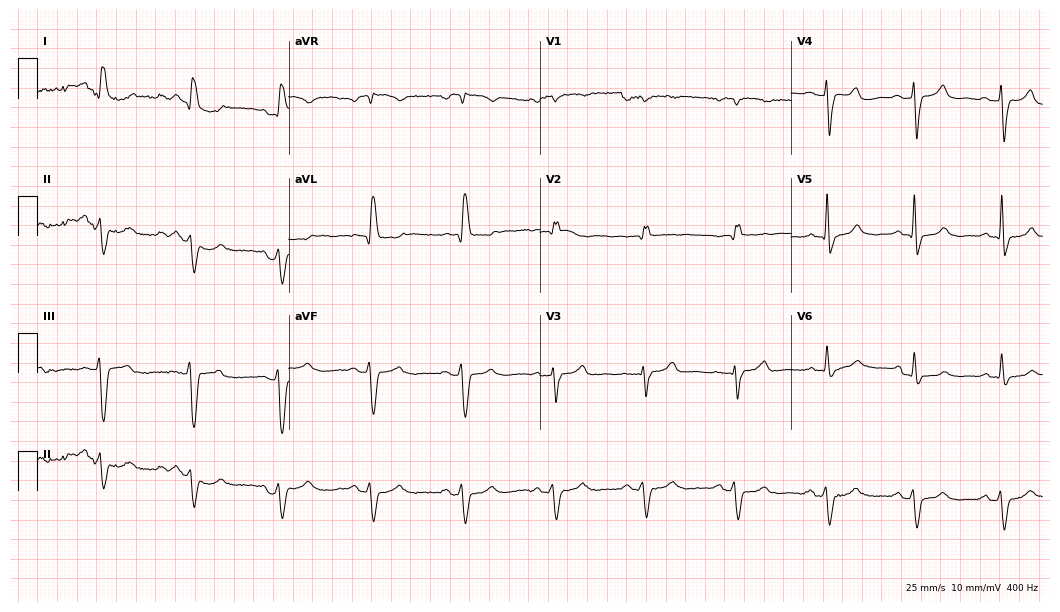
Resting 12-lead electrocardiogram. Patient: a woman, 89 years old. The tracing shows right bundle branch block.